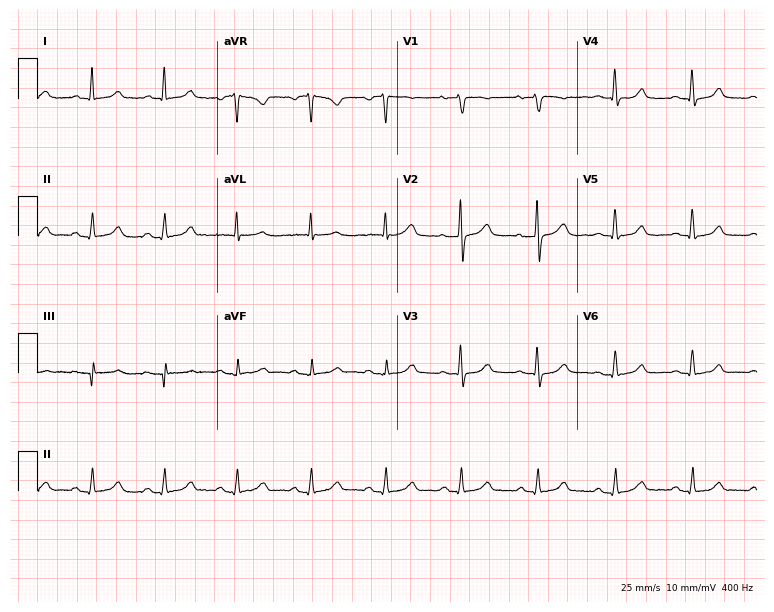
Resting 12-lead electrocardiogram. Patient: a 58-year-old female. Read as a normal ECG.